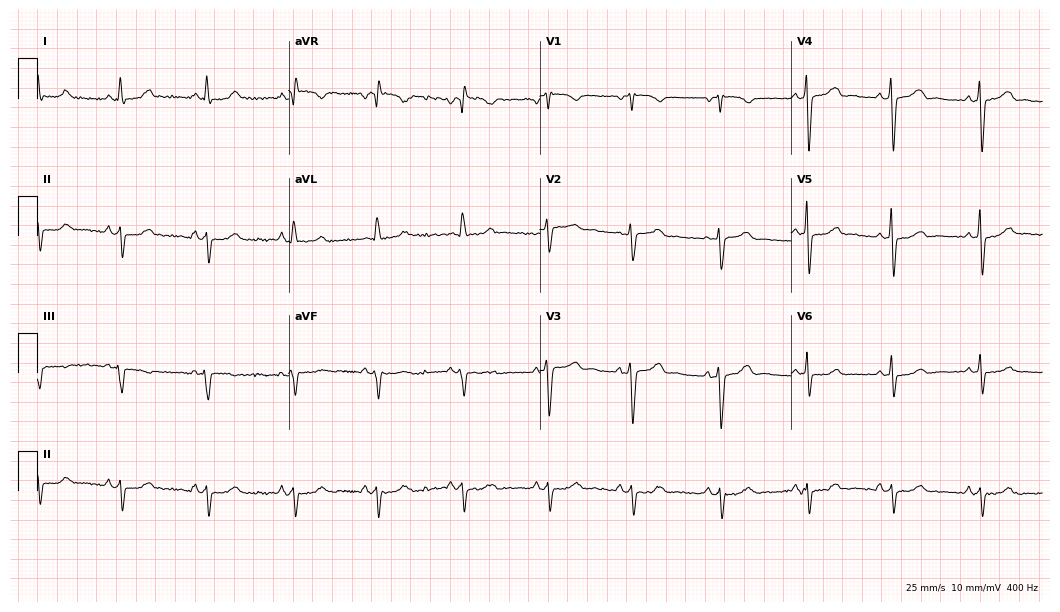
Standard 12-lead ECG recorded from a female patient, 43 years old. None of these six findings is recorded: first-degree AV block, right bundle branch block (RBBB), left bundle branch block (LBBB), sinus bradycardia, atrial fibrillation (AF), sinus tachycardia.